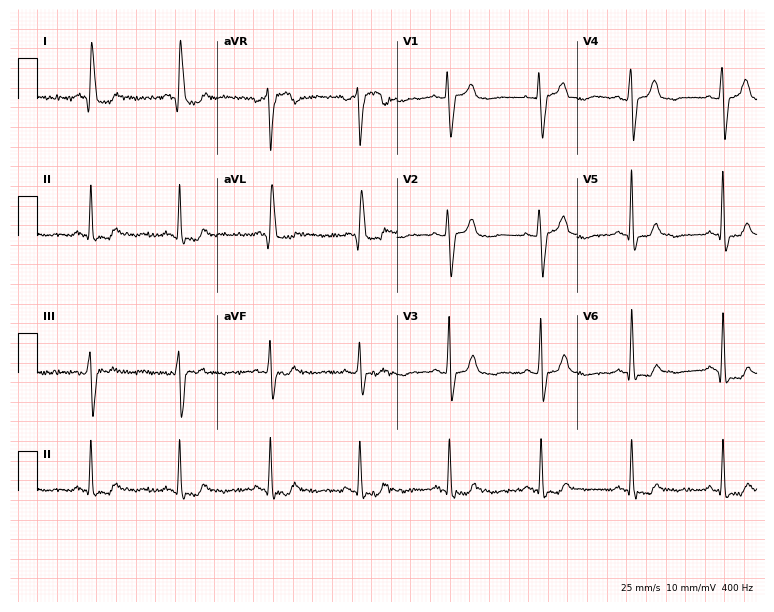
Standard 12-lead ECG recorded from a 74-year-old female patient. None of these six findings is recorded: first-degree AV block, right bundle branch block (RBBB), left bundle branch block (LBBB), sinus bradycardia, atrial fibrillation (AF), sinus tachycardia. Findings outside these six are not listed.